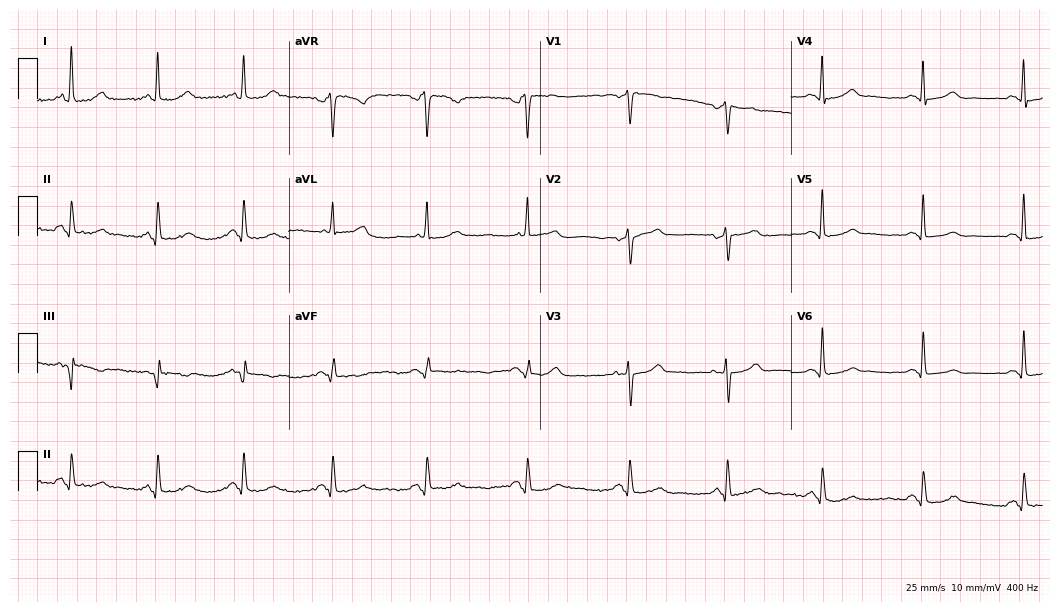
Electrocardiogram (10.2-second recording at 400 Hz), a 59-year-old female. Of the six screened findings (first-degree AV block, right bundle branch block (RBBB), left bundle branch block (LBBB), sinus bradycardia, atrial fibrillation (AF), sinus tachycardia), none is recorded.